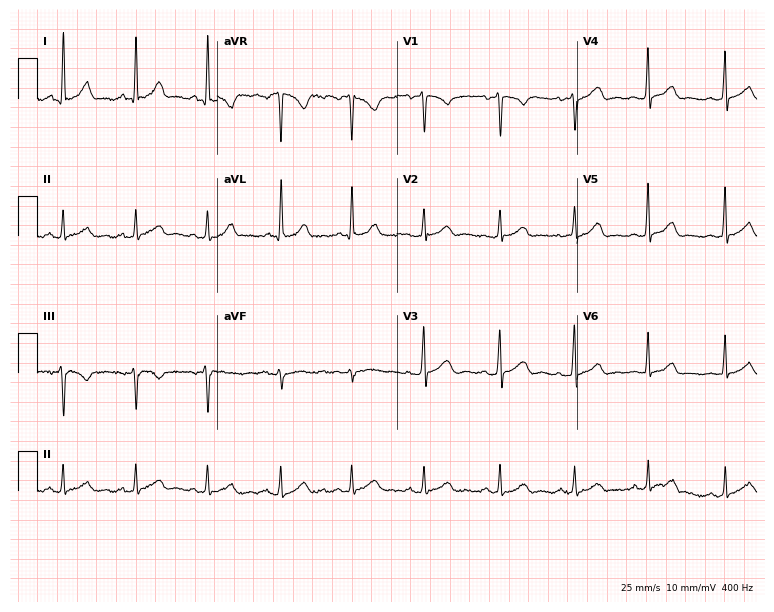
ECG — a 53-year-old woman. Labelled as a normal ECG.